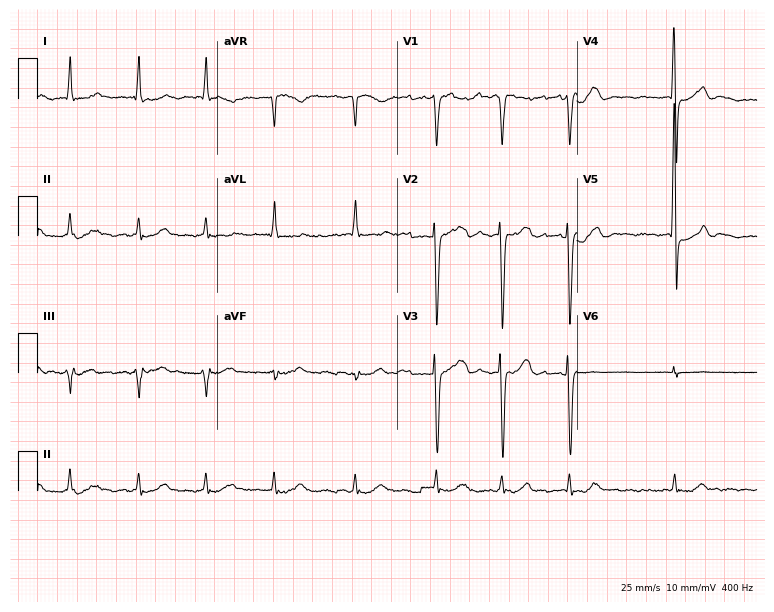
Resting 12-lead electrocardiogram. Patient: an 86-year-old man. The tracing shows atrial fibrillation.